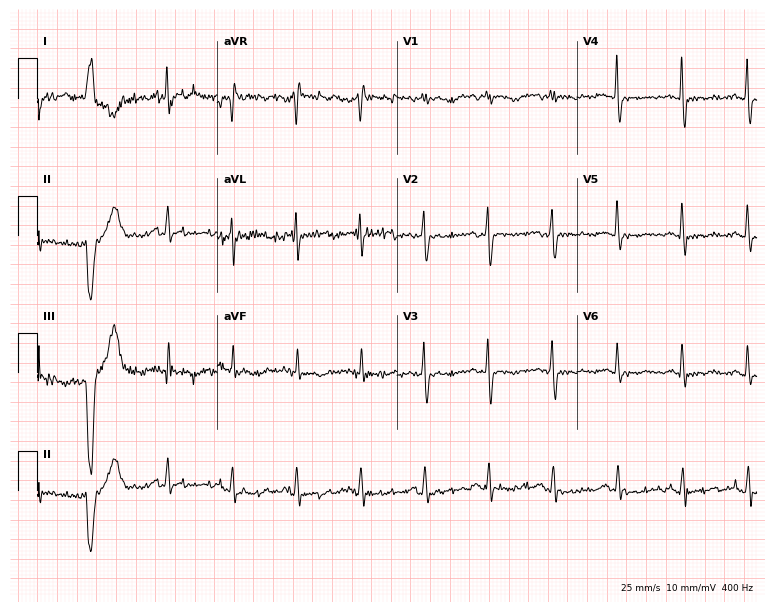
ECG (7.3-second recording at 400 Hz) — a 55-year-old female patient. Screened for six findings — first-degree AV block, right bundle branch block (RBBB), left bundle branch block (LBBB), sinus bradycardia, atrial fibrillation (AF), sinus tachycardia — none is recorded.